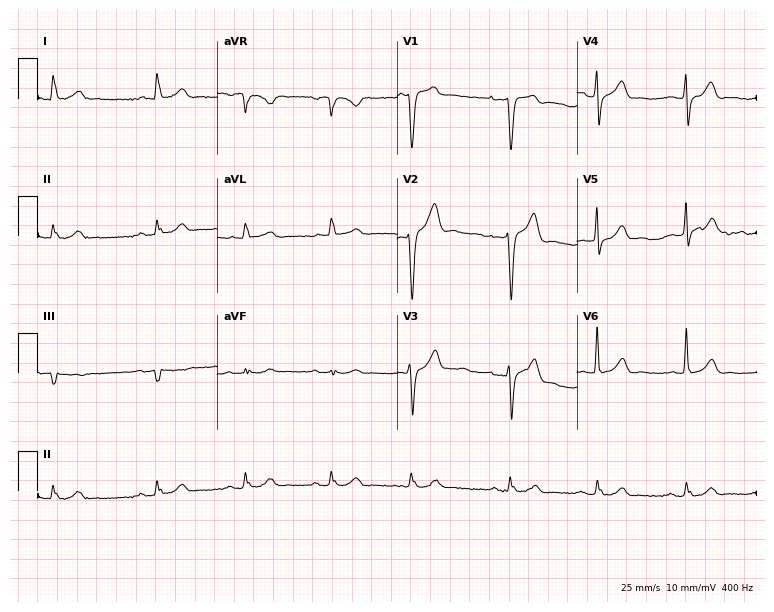
ECG — a male, 71 years old. Screened for six findings — first-degree AV block, right bundle branch block, left bundle branch block, sinus bradycardia, atrial fibrillation, sinus tachycardia — none is recorded.